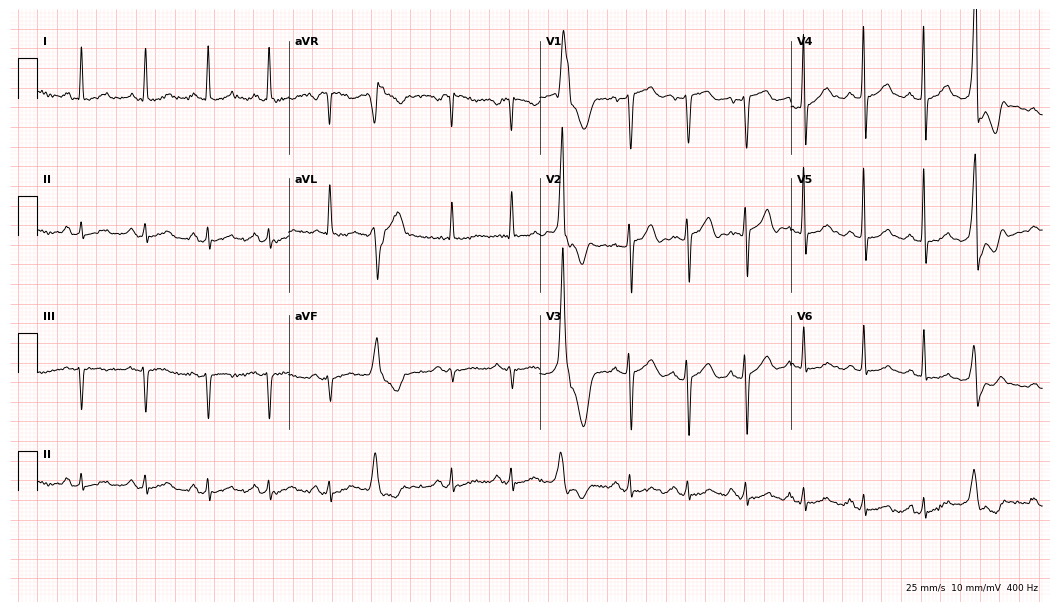
Resting 12-lead electrocardiogram (10.2-second recording at 400 Hz). Patient: a 51-year-old man. None of these six findings is recorded: first-degree AV block, right bundle branch block (RBBB), left bundle branch block (LBBB), sinus bradycardia, atrial fibrillation (AF), sinus tachycardia. Findings outside these six are not listed.